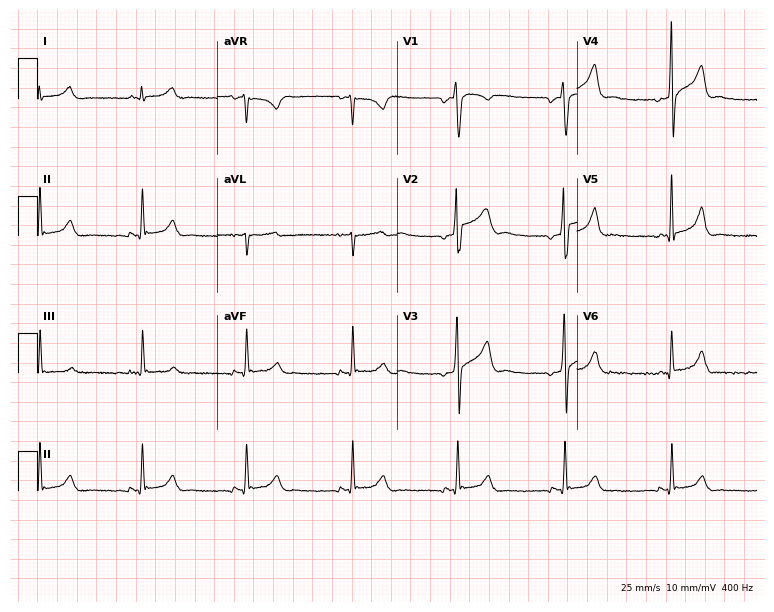
12-lead ECG from a 34-year-old male patient. No first-degree AV block, right bundle branch block, left bundle branch block, sinus bradycardia, atrial fibrillation or sinus tachycardia recorded for this tracing.